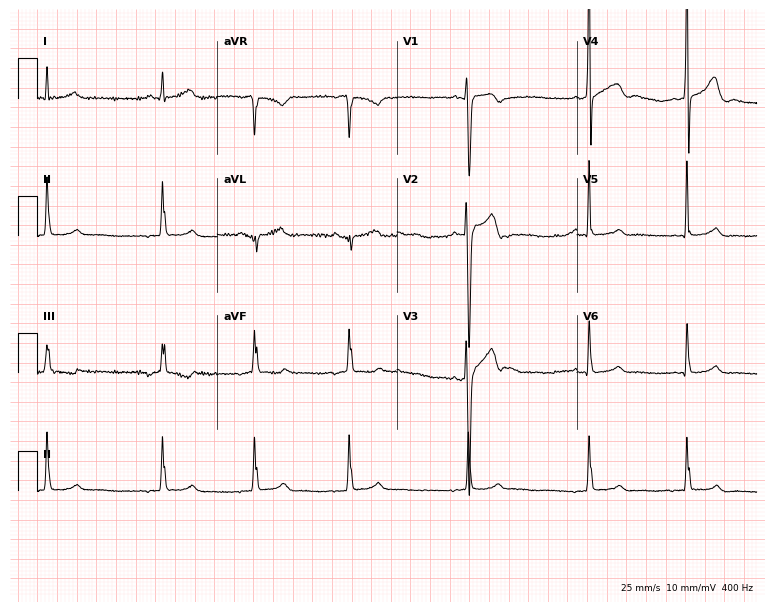
12-lead ECG from a male patient, 19 years old (7.3-second recording at 400 Hz). Recorded interpretation: within normal limits.